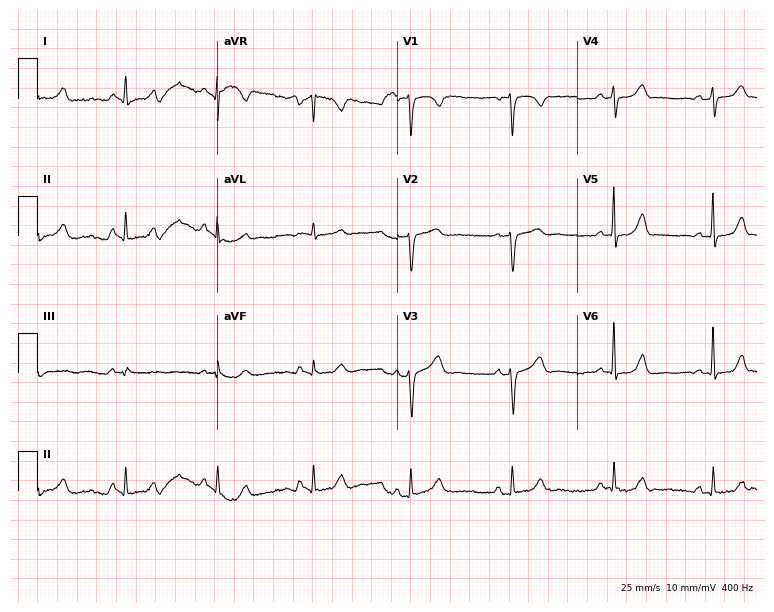
12-lead ECG from a 58-year-old female patient. No first-degree AV block, right bundle branch block, left bundle branch block, sinus bradycardia, atrial fibrillation or sinus tachycardia recorded for this tracing.